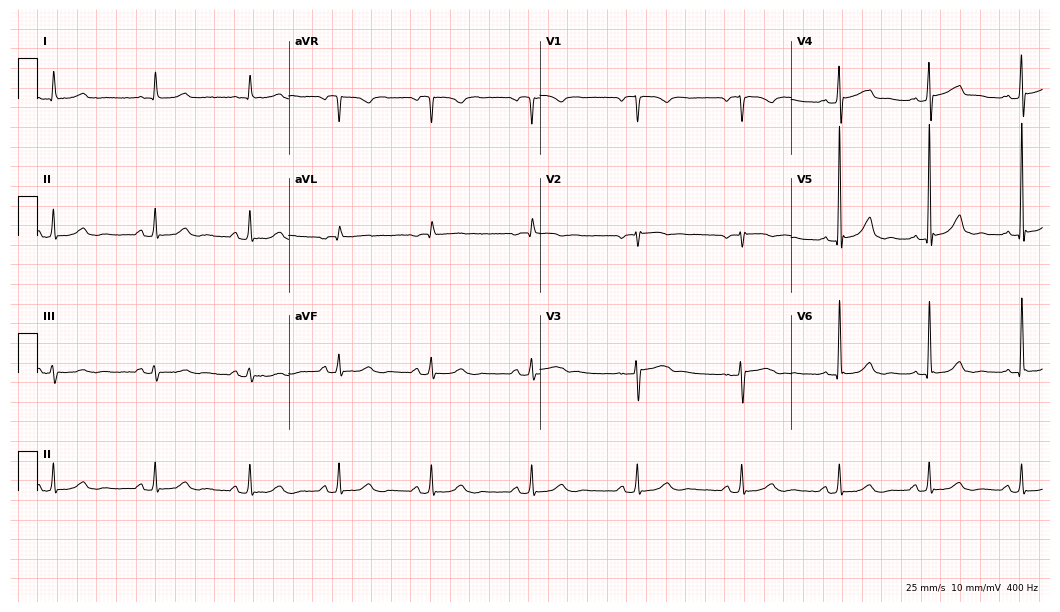
Resting 12-lead electrocardiogram. Patient: a 56-year-old female. Read as a normal ECG.